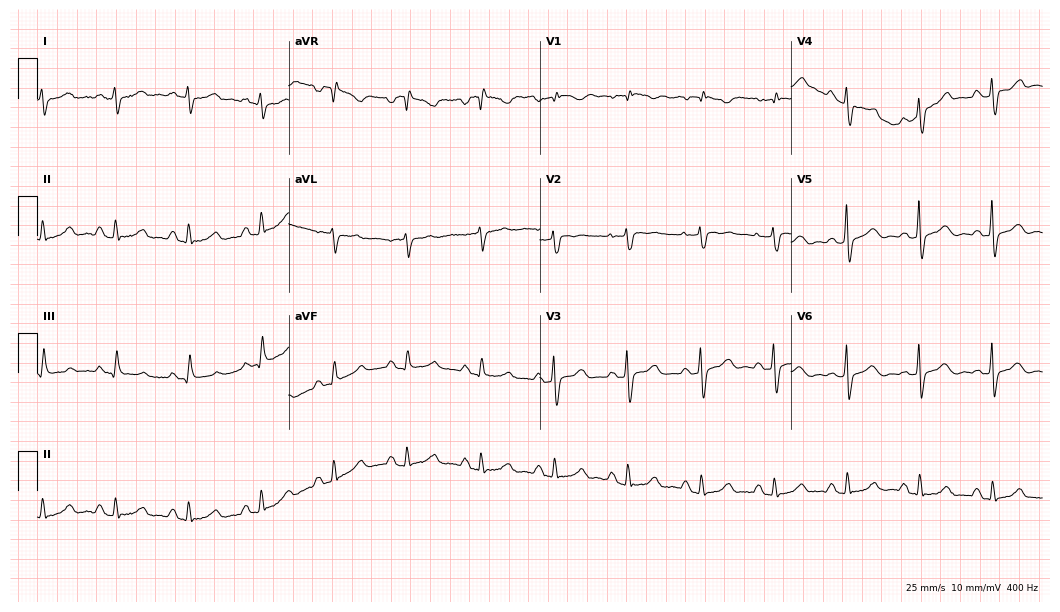
12-lead ECG (10.2-second recording at 400 Hz) from a 56-year-old woman. Screened for six findings — first-degree AV block, right bundle branch block, left bundle branch block, sinus bradycardia, atrial fibrillation, sinus tachycardia — none is recorded. Findings outside these six are not listed.